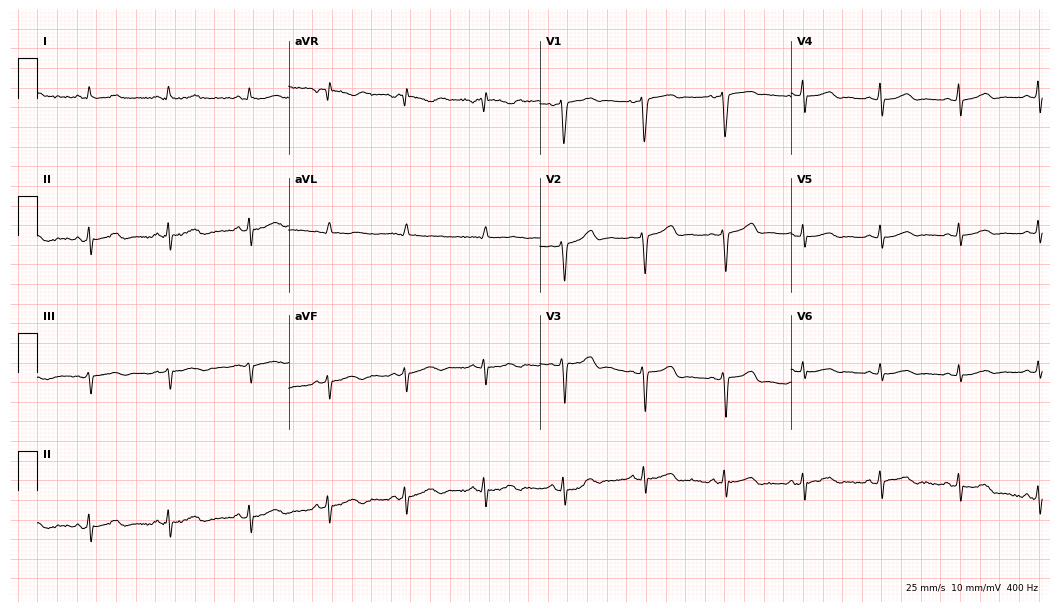
12-lead ECG from a female patient, 43 years old. No first-degree AV block, right bundle branch block, left bundle branch block, sinus bradycardia, atrial fibrillation or sinus tachycardia recorded for this tracing. Findings outside these six are not listed.